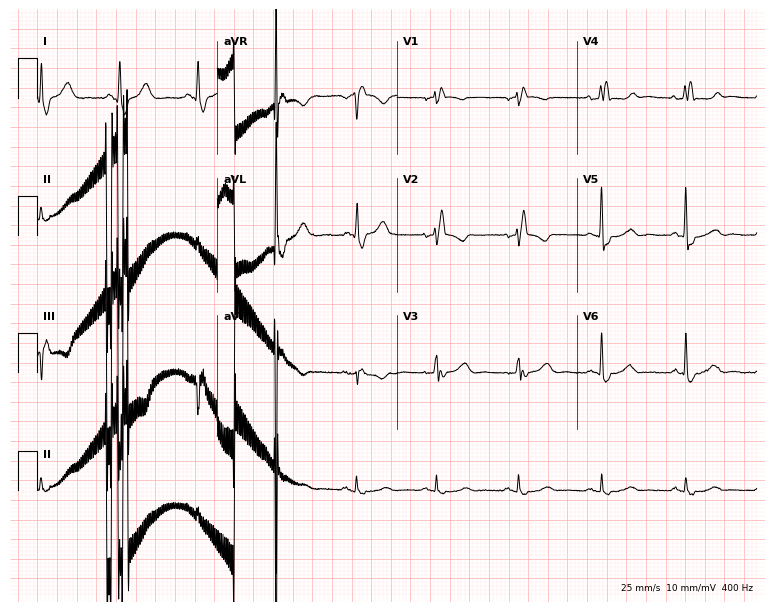
Electrocardiogram, a female patient, 59 years old. Interpretation includes right bundle branch block.